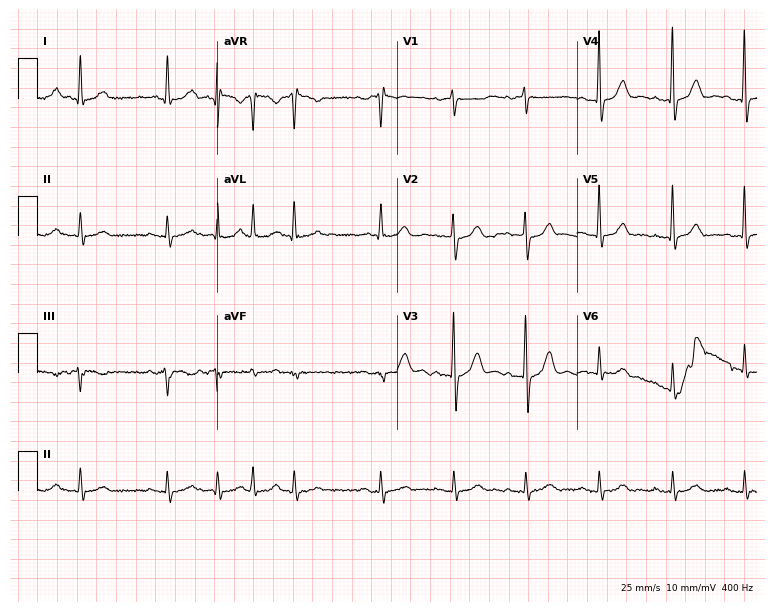
Resting 12-lead electrocardiogram (7.3-second recording at 400 Hz). Patient: a 78-year-old male. None of these six findings is recorded: first-degree AV block, right bundle branch block, left bundle branch block, sinus bradycardia, atrial fibrillation, sinus tachycardia.